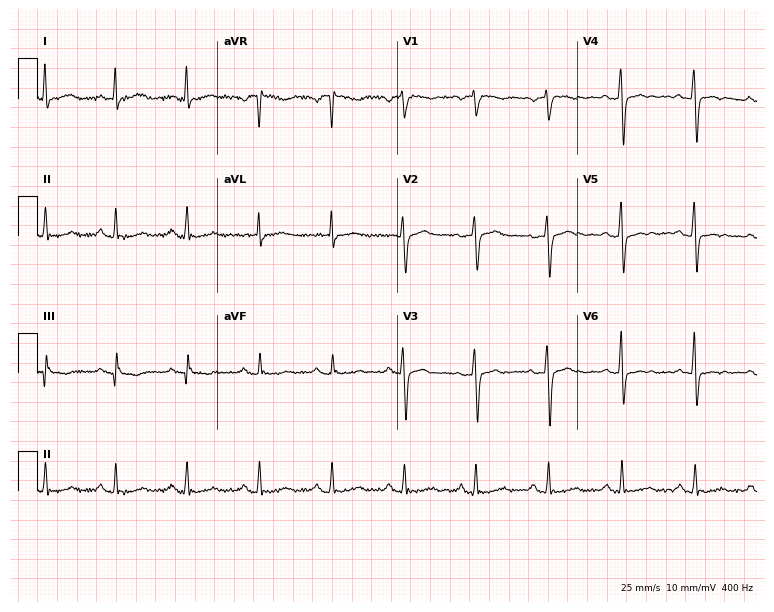
ECG (7.3-second recording at 400 Hz) — a woman, 51 years old. Screened for six findings — first-degree AV block, right bundle branch block, left bundle branch block, sinus bradycardia, atrial fibrillation, sinus tachycardia — none is recorded.